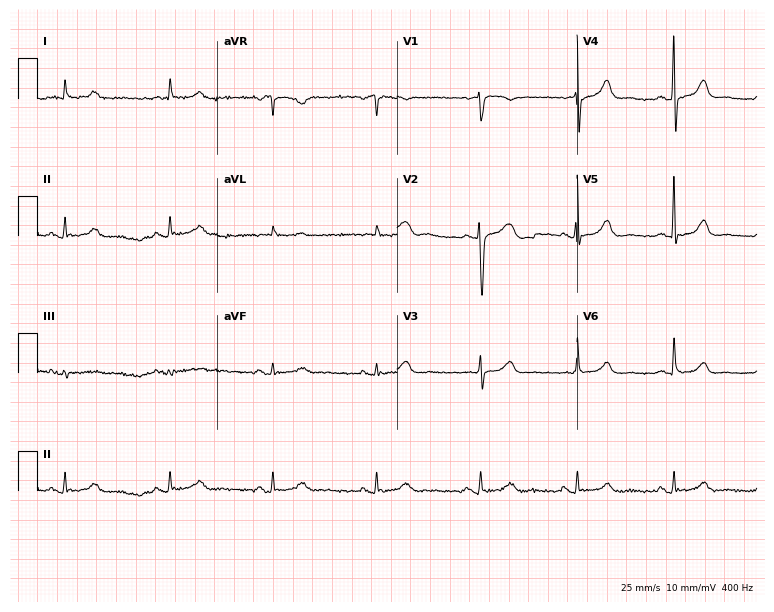
12-lead ECG from a female, 66 years old (7.3-second recording at 400 Hz). Recorded interpretation: within normal limits.